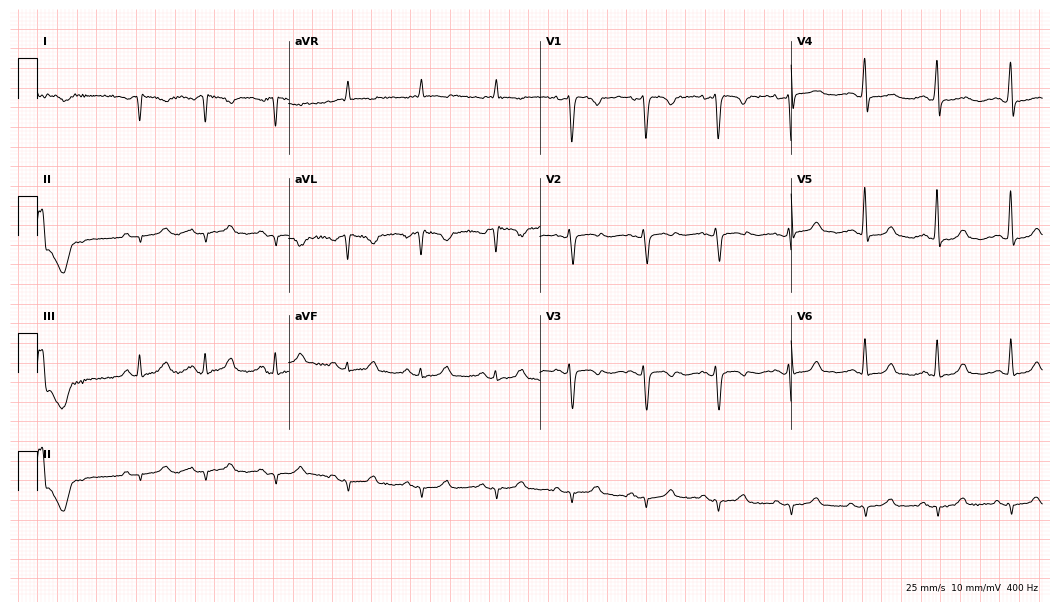
Standard 12-lead ECG recorded from a 29-year-old woman (10.2-second recording at 400 Hz). None of these six findings is recorded: first-degree AV block, right bundle branch block, left bundle branch block, sinus bradycardia, atrial fibrillation, sinus tachycardia.